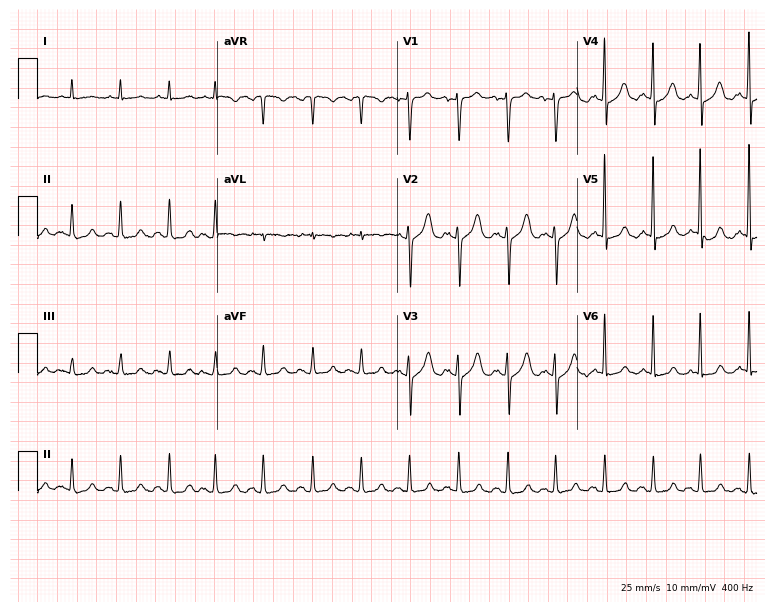
ECG (7.3-second recording at 400 Hz) — an 84-year-old woman. Findings include sinus tachycardia (a sinus rate of 100 beats per minute or more).